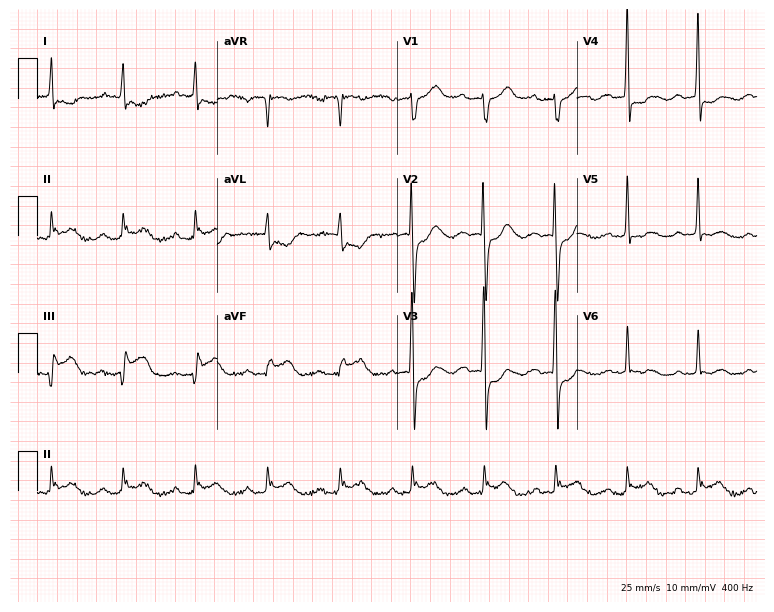
12-lead ECG from a male, 80 years old. Findings include first-degree AV block.